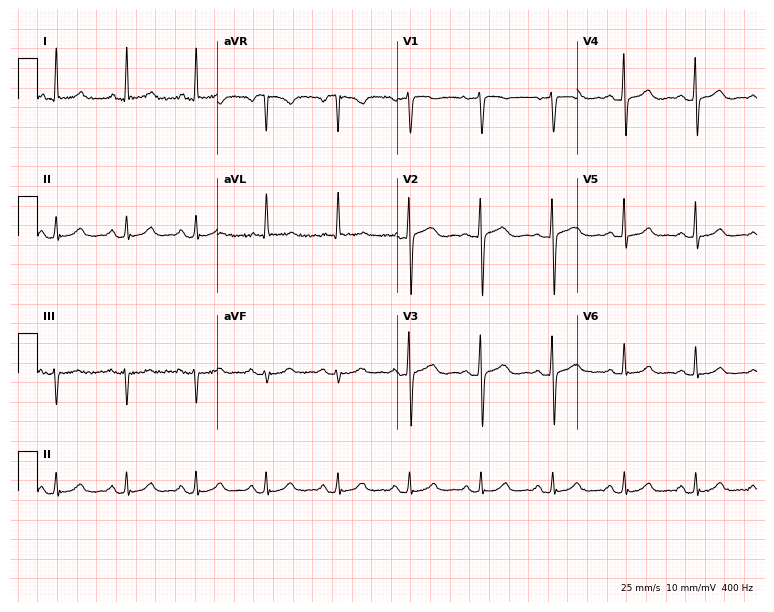
ECG (7.3-second recording at 400 Hz) — a 64-year-old woman. Labelled as a normal ECG.